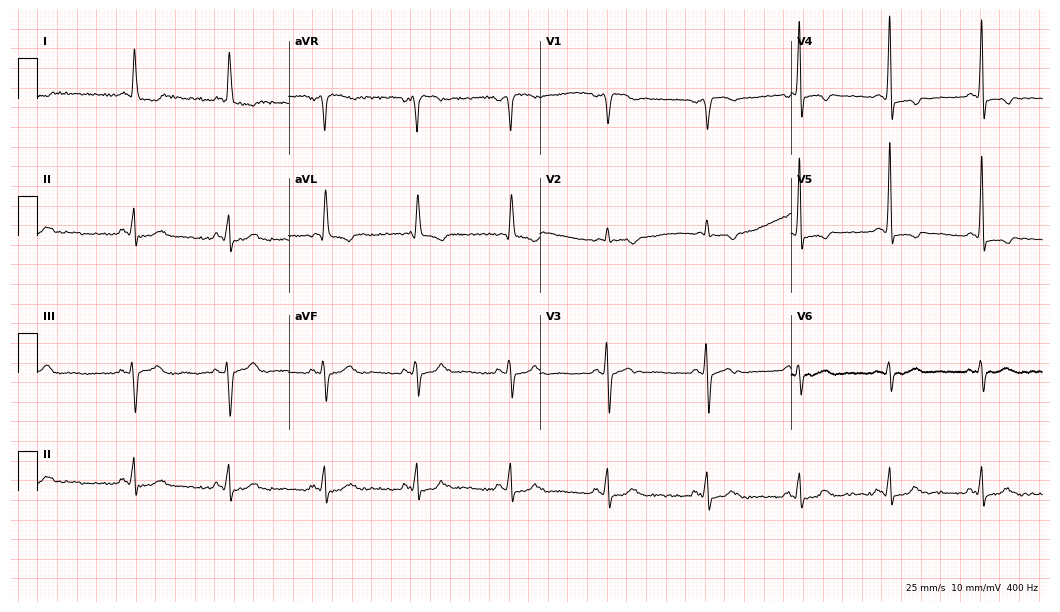
Standard 12-lead ECG recorded from an 85-year-old female. None of these six findings is recorded: first-degree AV block, right bundle branch block, left bundle branch block, sinus bradycardia, atrial fibrillation, sinus tachycardia. Other findings, if any, are not listed.